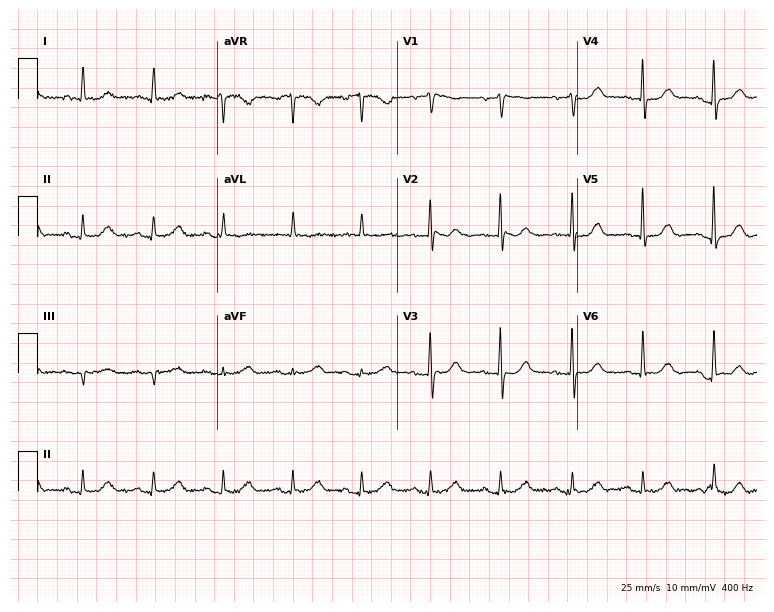
Standard 12-lead ECG recorded from a female patient, 69 years old (7.3-second recording at 400 Hz). None of these six findings is recorded: first-degree AV block, right bundle branch block, left bundle branch block, sinus bradycardia, atrial fibrillation, sinus tachycardia. Findings outside these six are not listed.